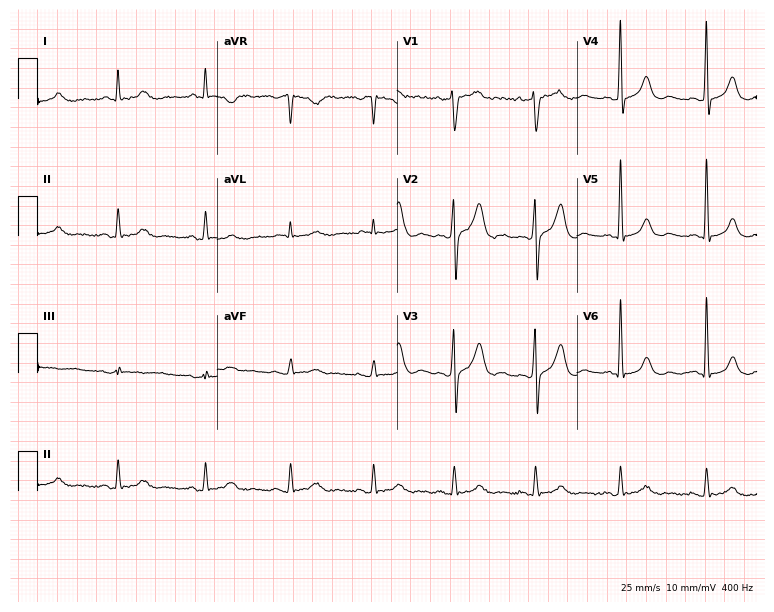
12-lead ECG from a man, 44 years old. No first-degree AV block, right bundle branch block, left bundle branch block, sinus bradycardia, atrial fibrillation or sinus tachycardia recorded for this tracing. Findings outside these six are not listed.